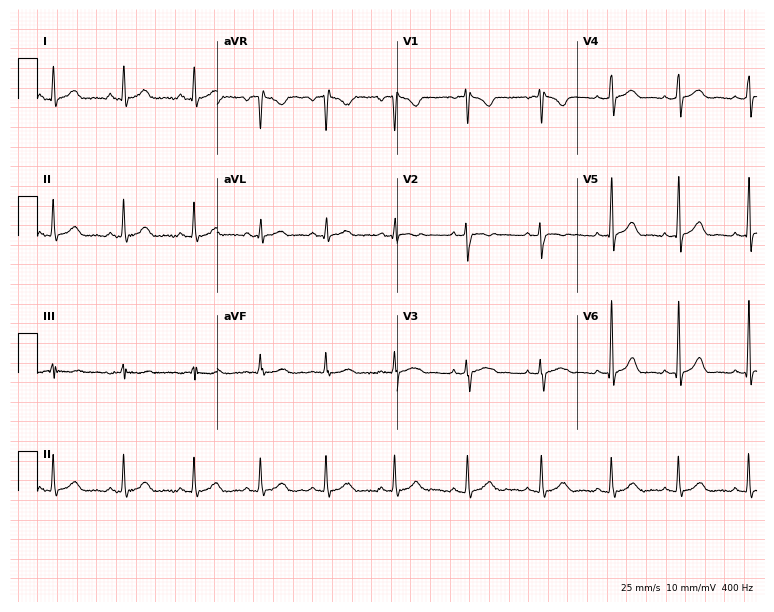
ECG (7.3-second recording at 400 Hz) — a female, 19 years old. Screened for six findings — first-degree AV block, right bundle branch block, left bundle branch block, sinus bradycardia, atrial fibrillation, sinus tachycardia — none is recorded. Only these six findings were labelled.